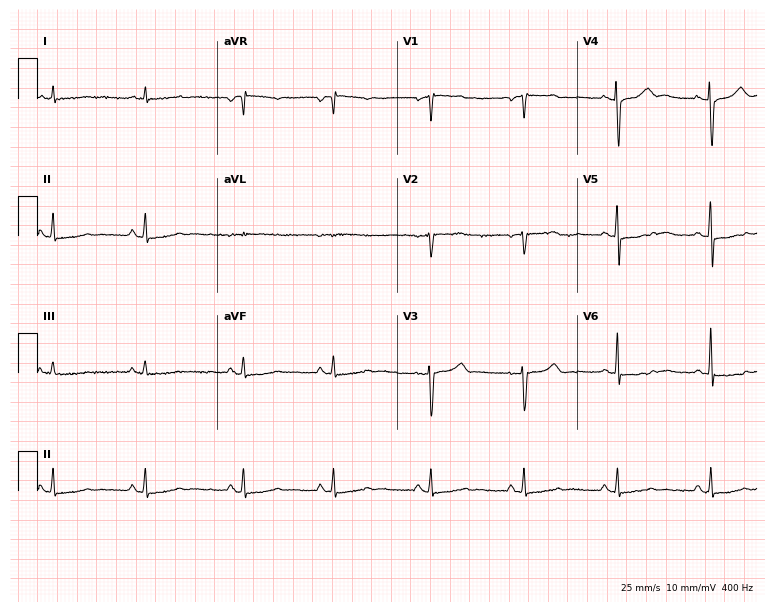
Standard 12-lead ECG recorded from a female patient, 47 years old (7.3-second recording at 400 Hz). Read as a normal ECG.